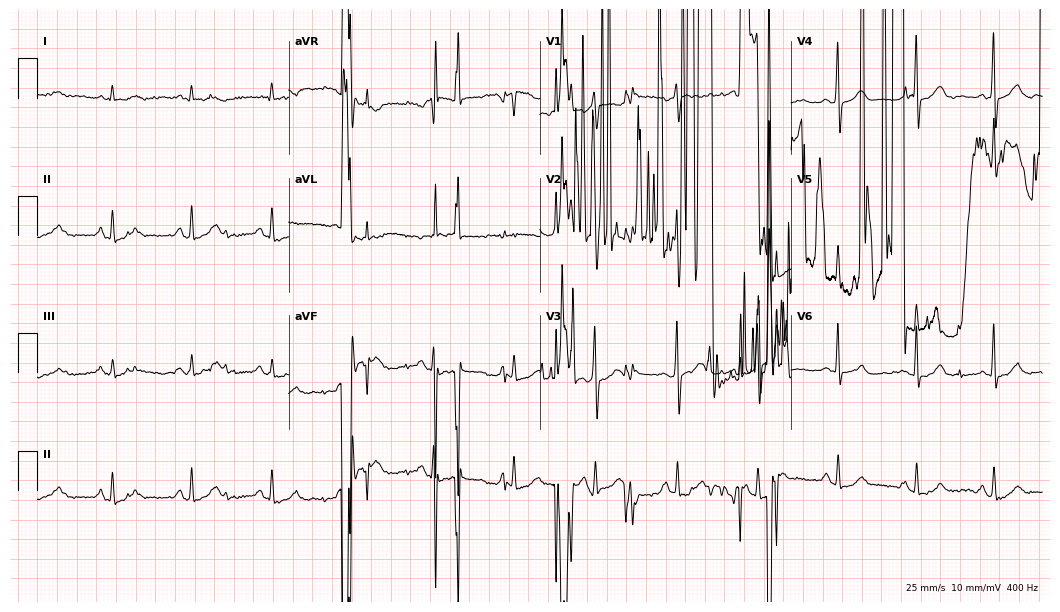
Standard 12-lead ECG recorded from a male patient, 79 years old (10.2-second recording at 400 Hz). None of these six findings is recorded: first-degree AV block, right bundle branch block (RBBB), left bundle branch block (LBBB), sinus bradycardia, atrial fibrillation (AF), sinus tachycardia.